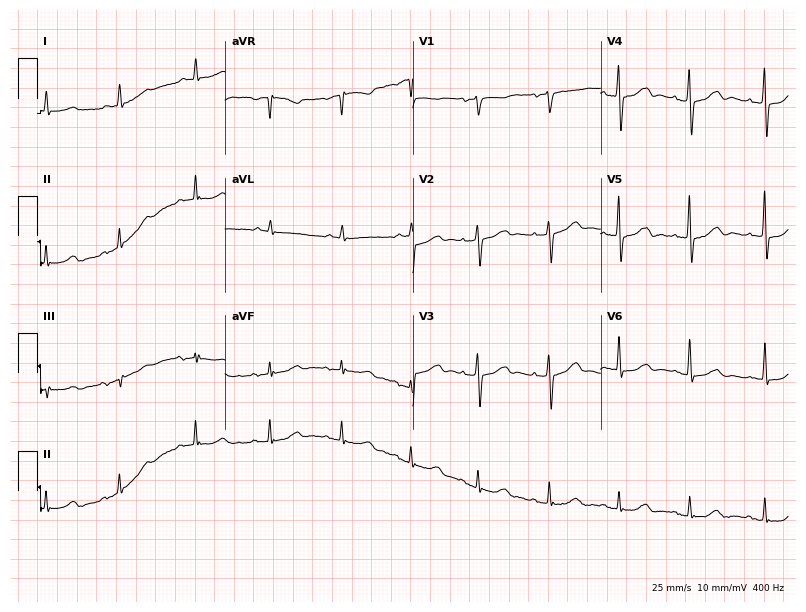
12-lead ECG from a 66-year-old woman (7.7-second recording at 400 Hz). Recorded interpretation: within normal limits.